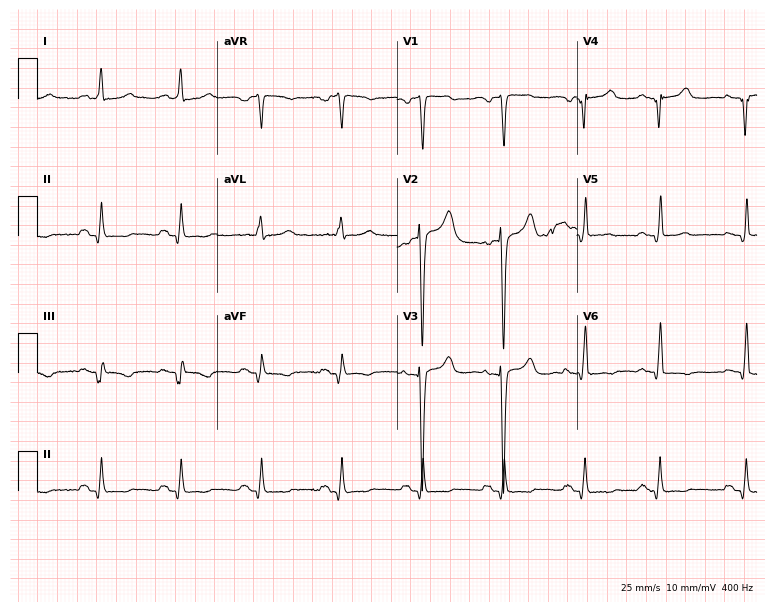
12-lead ECG (7.3-second recording at 400 Hz) from a man, 55 years old. Screened for six findings — first-degree AV block, right bundle branch block (RBBB), left bundle branch block (LBBB), sinus bradycardia, atrial fibrillation (AF), sinus tachycardia — none is recorded. Only these six findings were labelled.